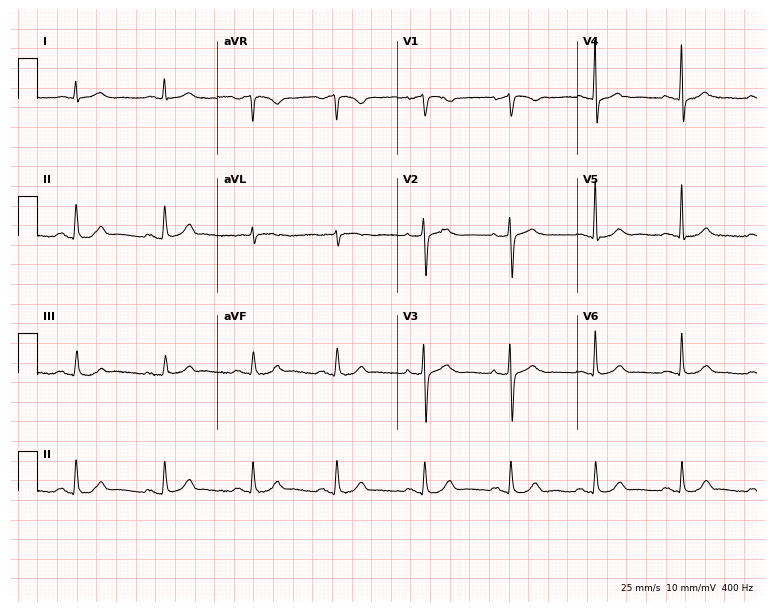
Resting 12-lead electrocardiogram. Patient: a 69-year-old female. Read as a normal ECG.